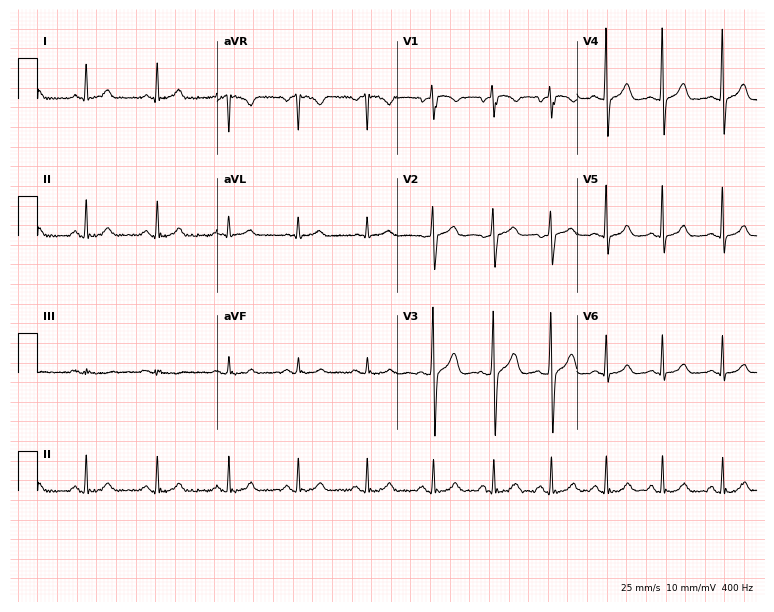
12-lead ECG from a 43-year-old female. Recorded interpretation: within normal limits.